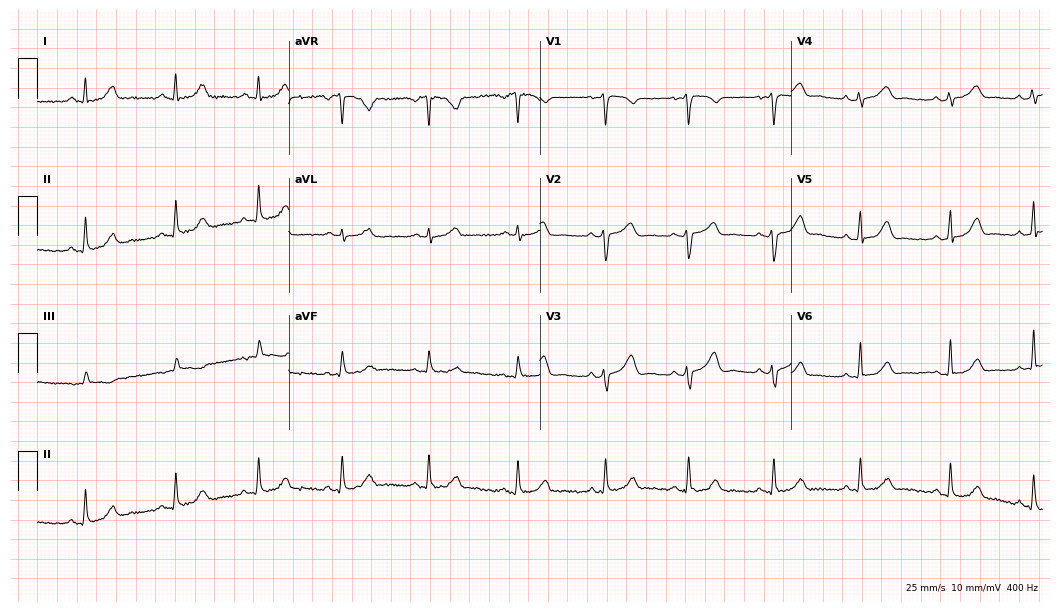
ECG — a woman, 40 years old. Screened for six findings — first-degree AV block, right bundle branch block (RBBB), left bundle branch block (LBBB), sinus bradycardia, atrial fibrillation (AF), sinus tachycardia — none is recorded.